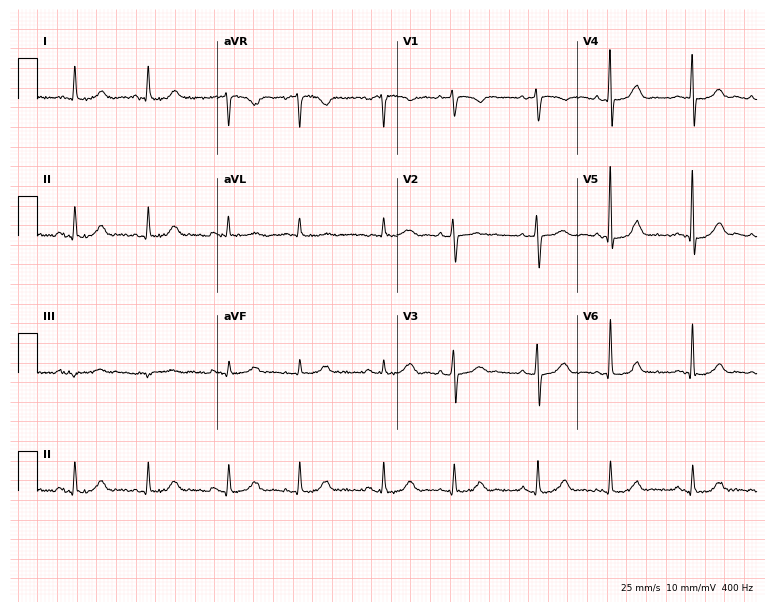
Resting 12-lead electrocardiogram. Patient: a 71-year-old female. Read as a normal ECG.